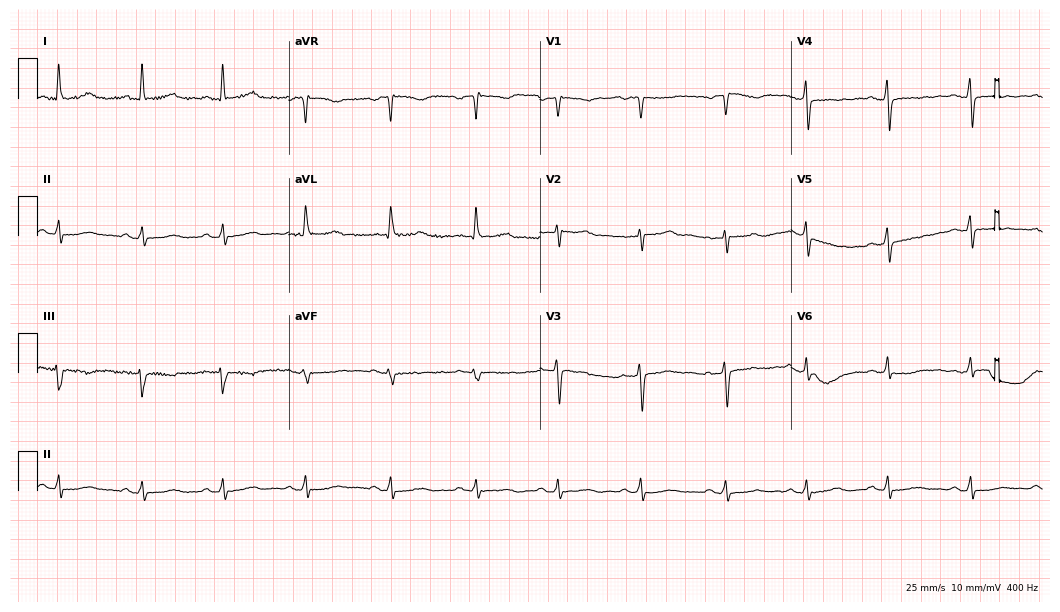
Resting 12-lead electrocardiogram. Patient: a female, 59 years old. Read as a normal ECG.